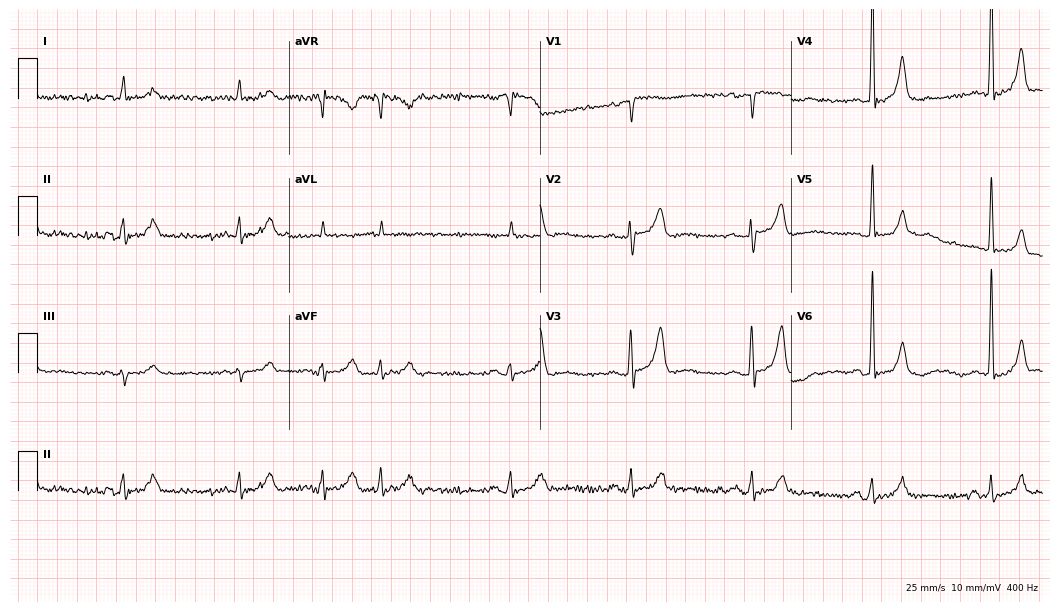
12-lead ECG (10.2-second recording at 400 Hz) from a male, 81 years old. Screened for six findings — first-degree AV block, right bundle branch block, left bundle branch block, sinus bradycardia, atrial fibrillation, sinus tachycardia — none is recorded.